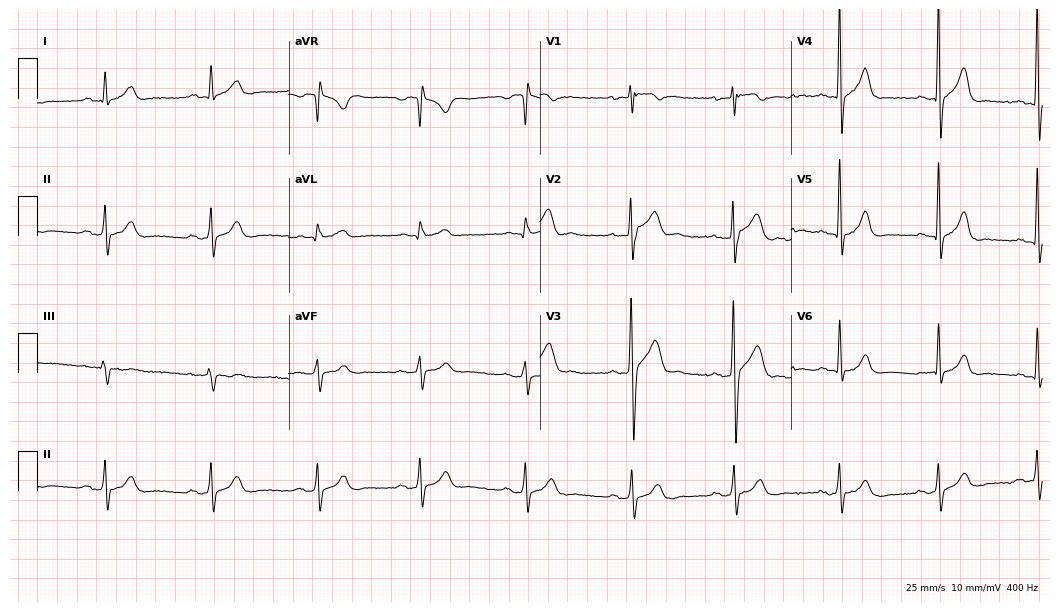
12-lead ECG (10.2-second recording at 400 Hz) from a male patient, 24 years old. Screened for six findings — first-degree AV block, right bundle branch block, left bundle branch block, sinus bradycardia, atrial fibrillation, sinus tachycardia — none is recorded.